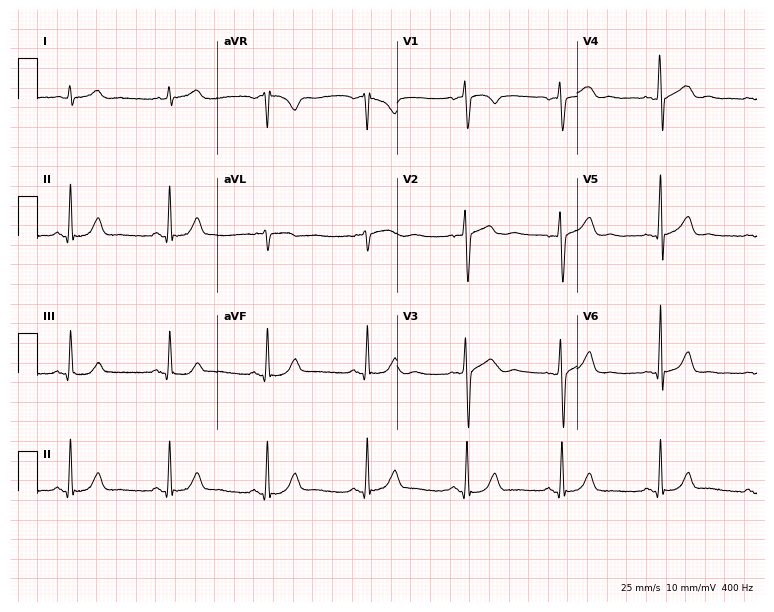
ECG — a 43-year-old male. Labelled as a normal ECG.